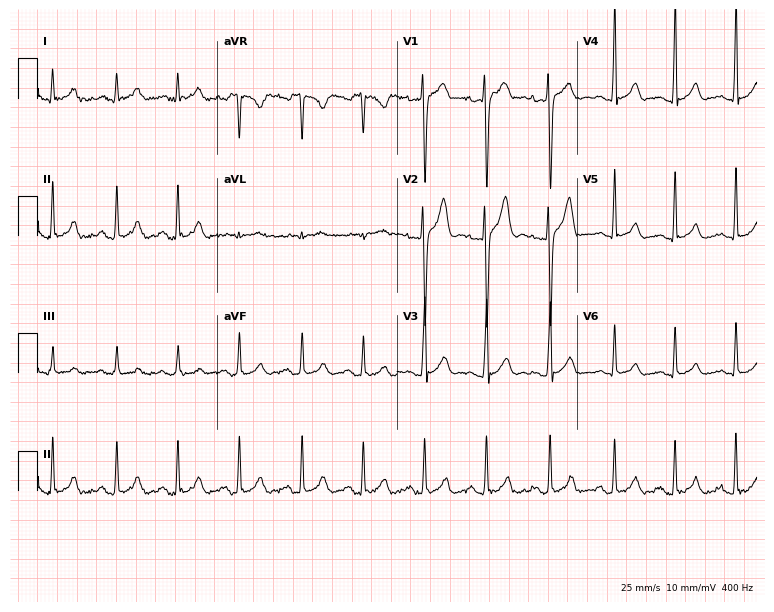
Resting 12-lead electrocardiogram (7.3-second recording at 400 Hz). Patient: a man, 20 years old. None of these six findings is recorded: first-degree AV block, right bundle branch block, left bundle branch block, sinus bradycardia, atrial fibrillation, sinus tachycardia. Findings outside these six are not listed.